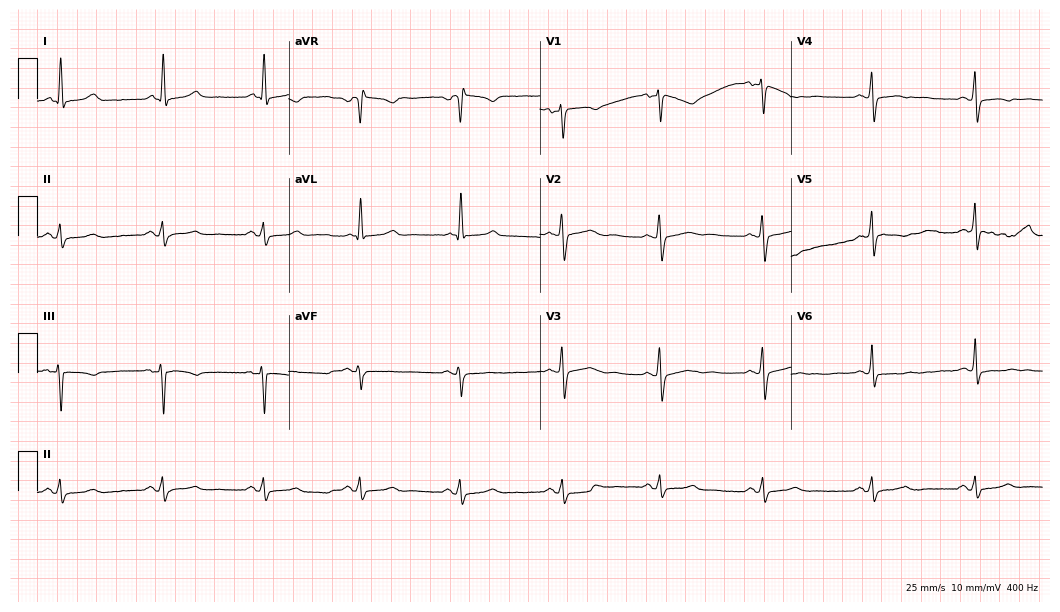
12-lead ECG from a 51-year-old male. No first-degree AV block, right bundle branch block, left bundle branch block, sinus bradycardia, atrial fibrillation or sinus tachycardia recorded for this tracing. Findings outside these six are not listed.